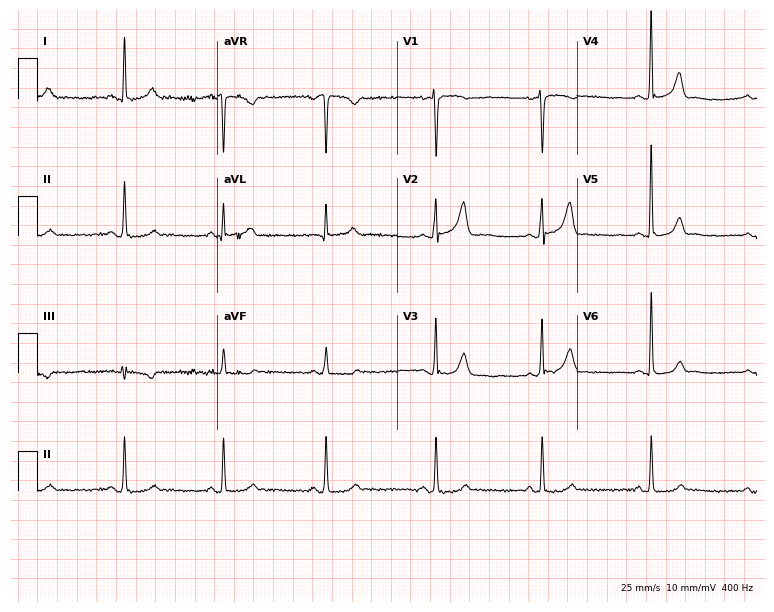
Standard 12-lead ECG recorded from a 45-year-old female patient (7.3-second recording at 400 Hz). None of these six findings is recorded: first-degree AV block, right bundle branch block (RBBB), left bundle branch block (LBBB), sinus bradycardia, atrial fibrillation (AF), sinus tachycardia.